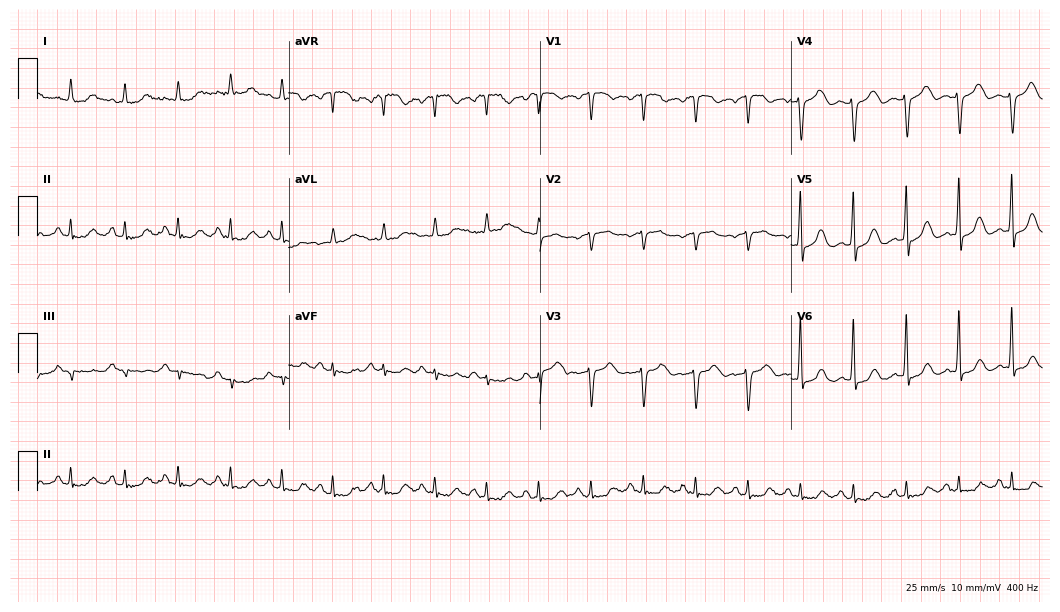
ECG — a female patient, 61 years old. Screened for six findings — first-degree AV block, right bundle branch block (RBBB), left bundle branch block (LBBB), sinus bradycardia, atrial fibrillation (AF), sinus tachycardia — none is recorded.